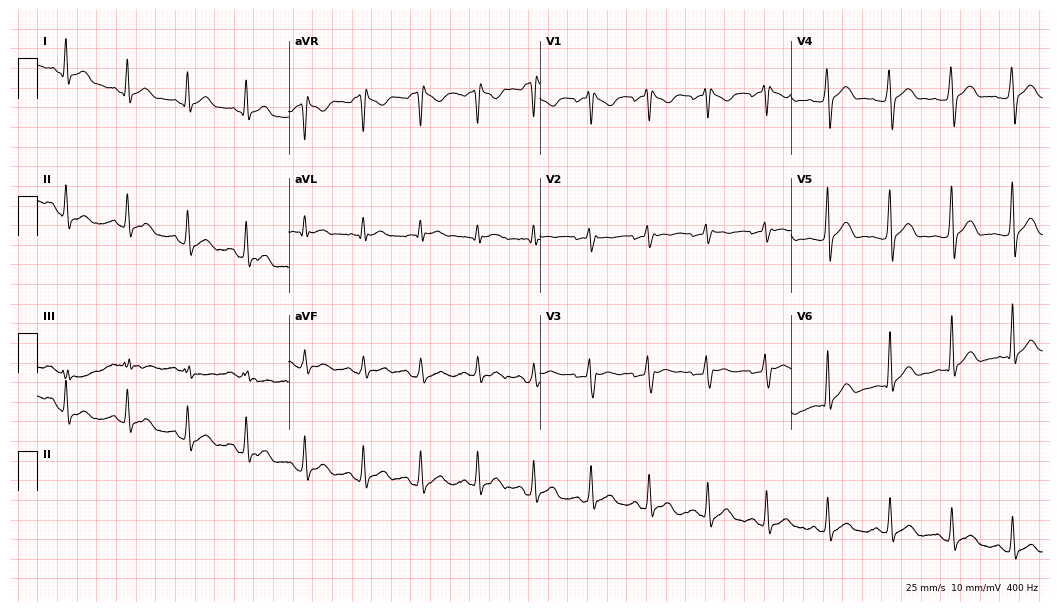
12-lead ECG from a male patient, 36 years old (10.2-second recording at 400 Hz). No first-degree AV block, right bundle branch block (RBBB), left bundle branch block (LBBB), sinus bradycardia, atrial fibrillation (AF) or sinus tachycardia recorded for this tracing. Other findings, if any, are not listed.